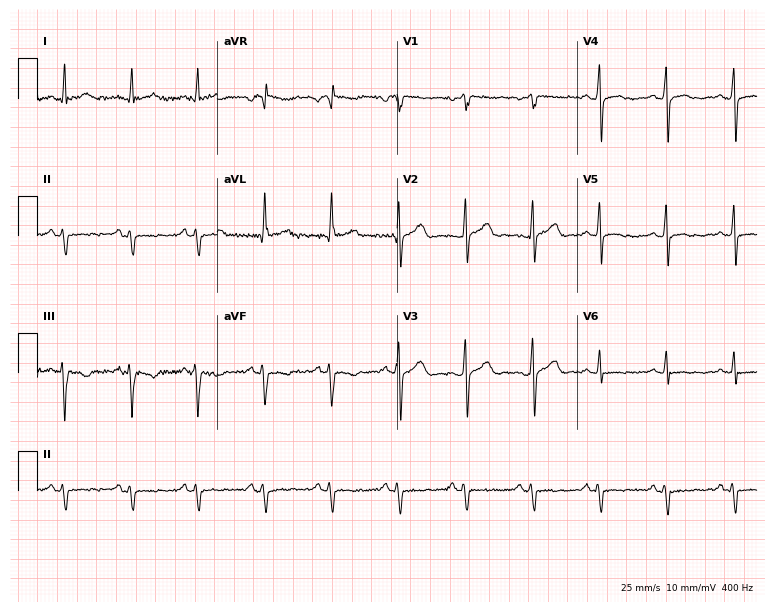
Standard 12-lead ECG recorded from a female, 56 years old. None of these six findings is recorded: first-degree AV block, right bundle branch block, left bundle branch block, sinus bradycardia, atrial fibrillation, sinus tachycardia. Findings outside these six are not listed.